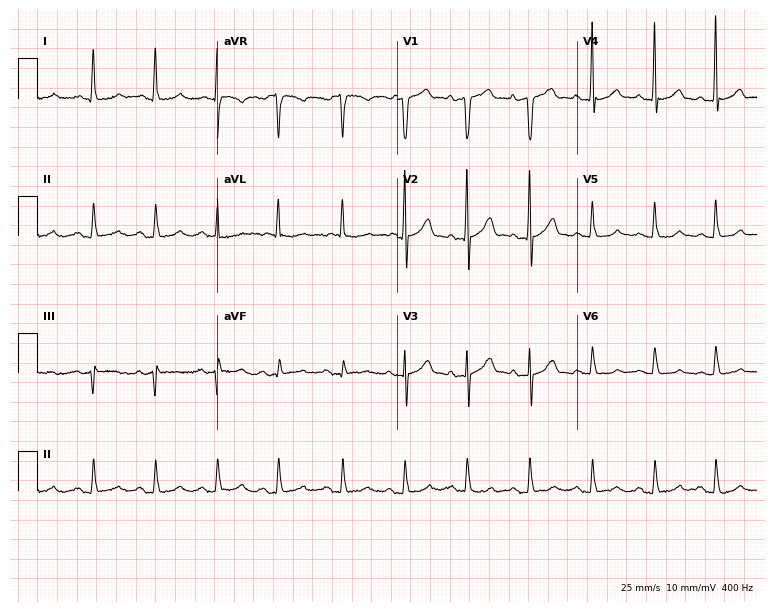
Electrocardiogram, an 83-year-old female. Overall reading on record: normal ECG.